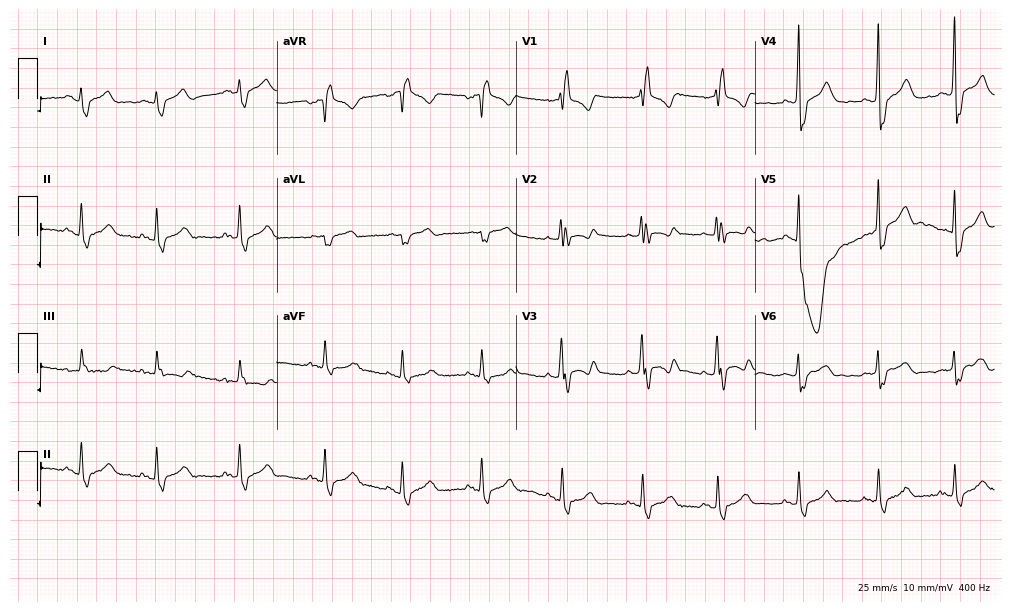
12-lead ECG (9.8-second recording at 400 Hz) from a 36-year-old man. Findings include right bundle branch block.